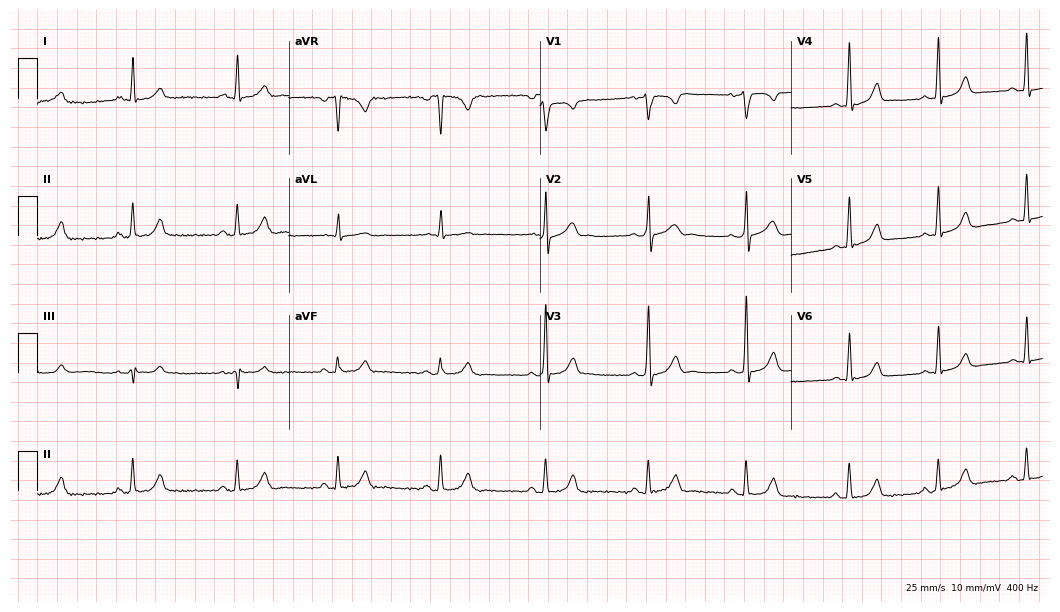
12-lead ECG from a male, 36 years old (10.2-second recording at 400 Hz). No first-degree AV block, right bundle branch block, left bundle branch block, sinus bradycardia, atrial fibrillation or sinus tachycardia recorded for this tracing.